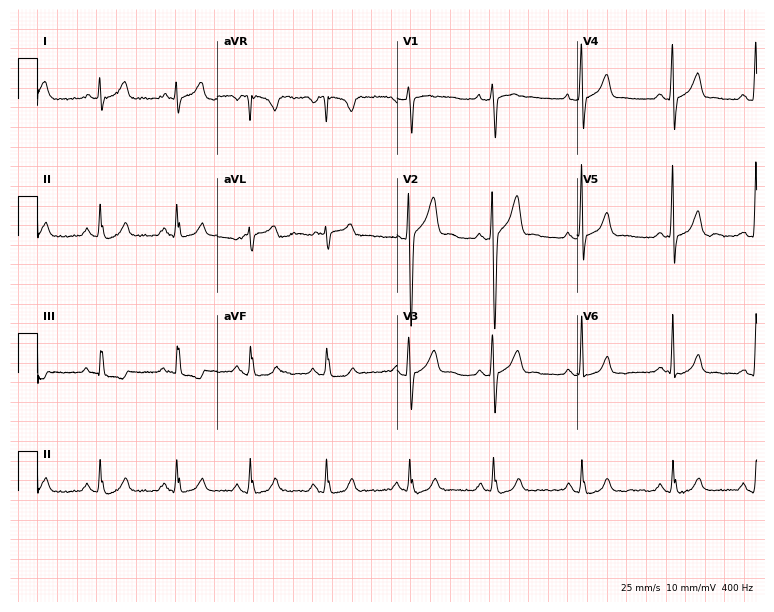
ECG — a man, 32 years old. Labelled as a normal ECG.